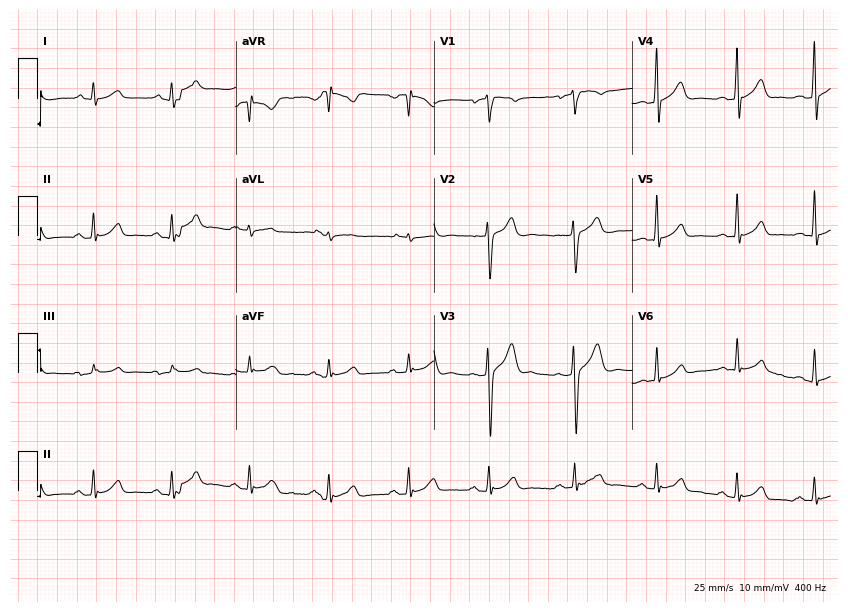
ECG — a male patient, 34 years old. Labelled as a normal ECG.